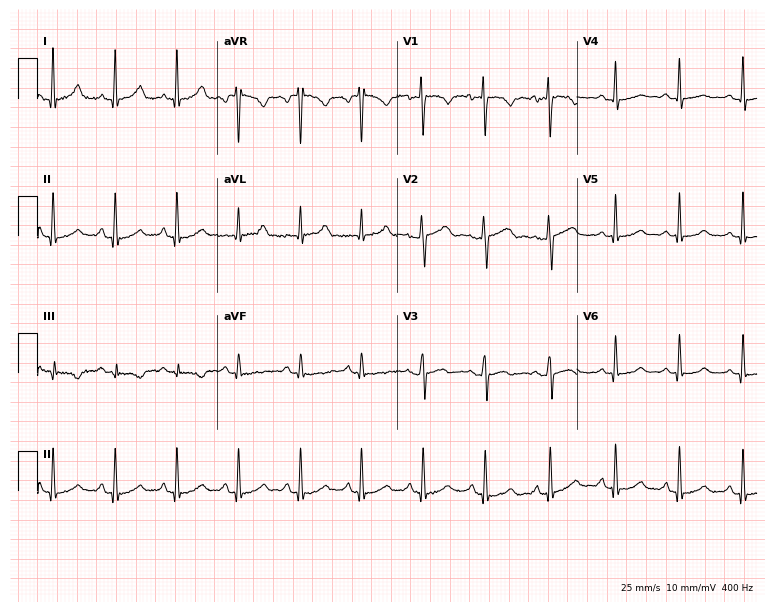
ECG — a female, 24 years old. Labelled as a normal ECG.